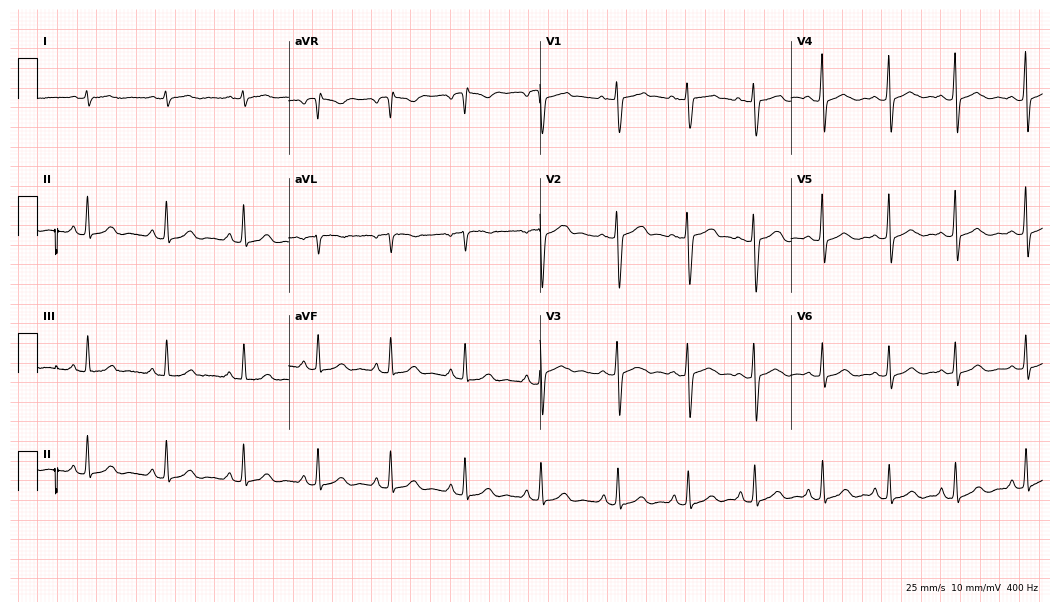
Standard 12-lead ECG recorded from a 21-year-old female patient (10.2-second recording at 400 Hz). None of these six findings is recorded: first-degree AV block, right bundle branch block (RBBB), left bundle branch block (LBBB), sinus bradycardia, atrial fibrillation (AF), sinus tachycardia.